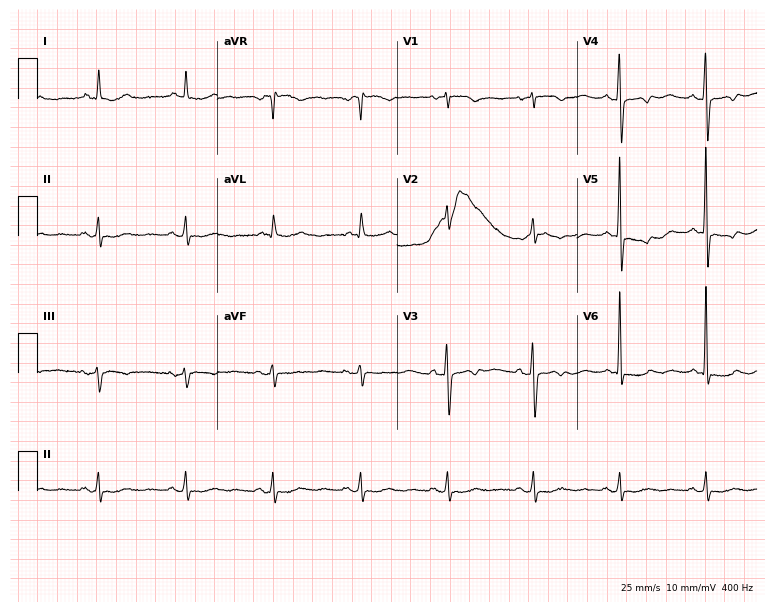
12-lead ECG from an 83-year-old female. No first-degree AV block, right bundle branch block, left bundle branch block, sinus bradycardia, atrial fibrillation or sinus tachycardia recorded for this tracing. Only these six findings were labelled.